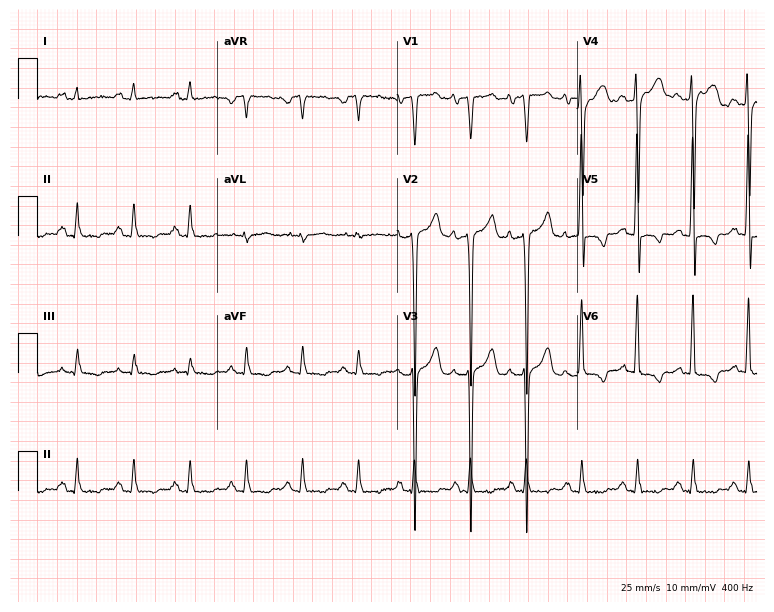
12-lead ECG from a 50-year-old man. Findings include sinus tachycardia (a sinus rate of 100 beats per minute or more).